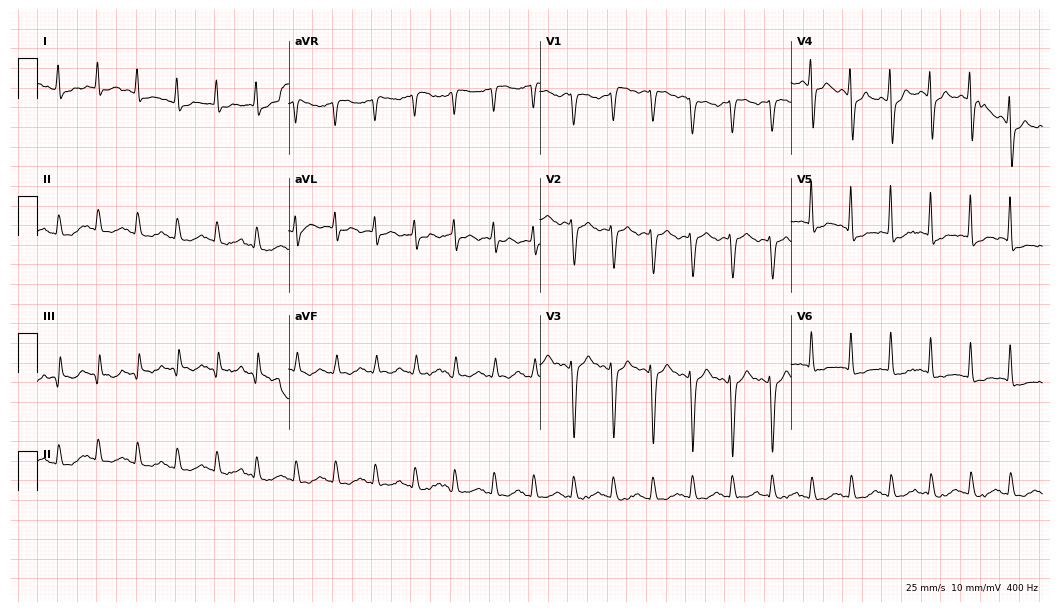
Electrocardiogram, an 80-year-old male patient. Of the six screened findings (first-degree AV block, right bundle branch block, left bundle branch block, sinus bradycardia, atrial fibrillation, sinus tachycardia), none is recorded. Other findings, if any, are not listed.